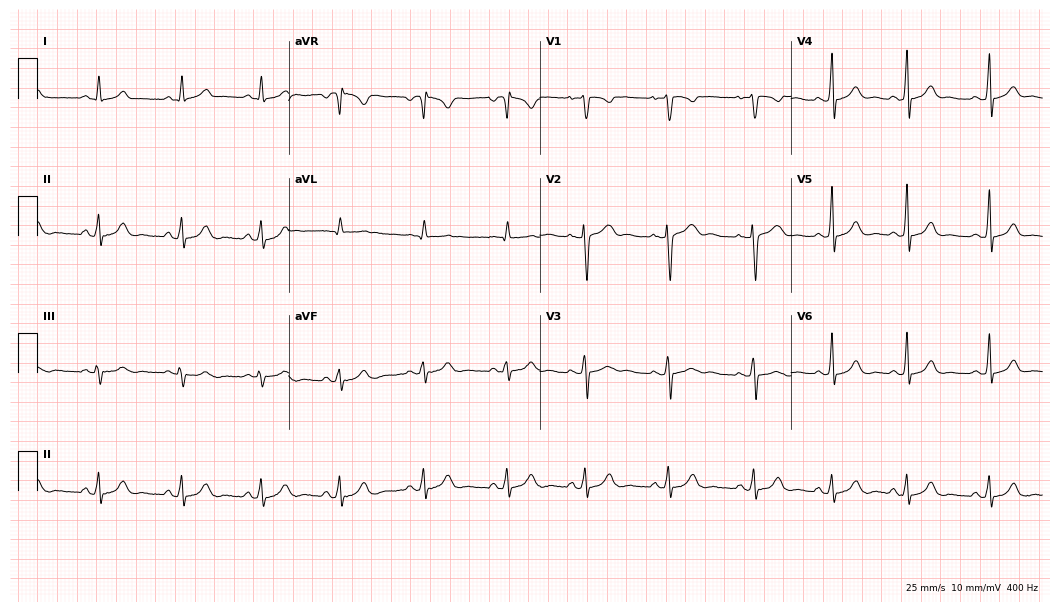
ECG (10.2-second recording at 400 Hz) — a female, 28 years old. Labelled as a normal ECG.